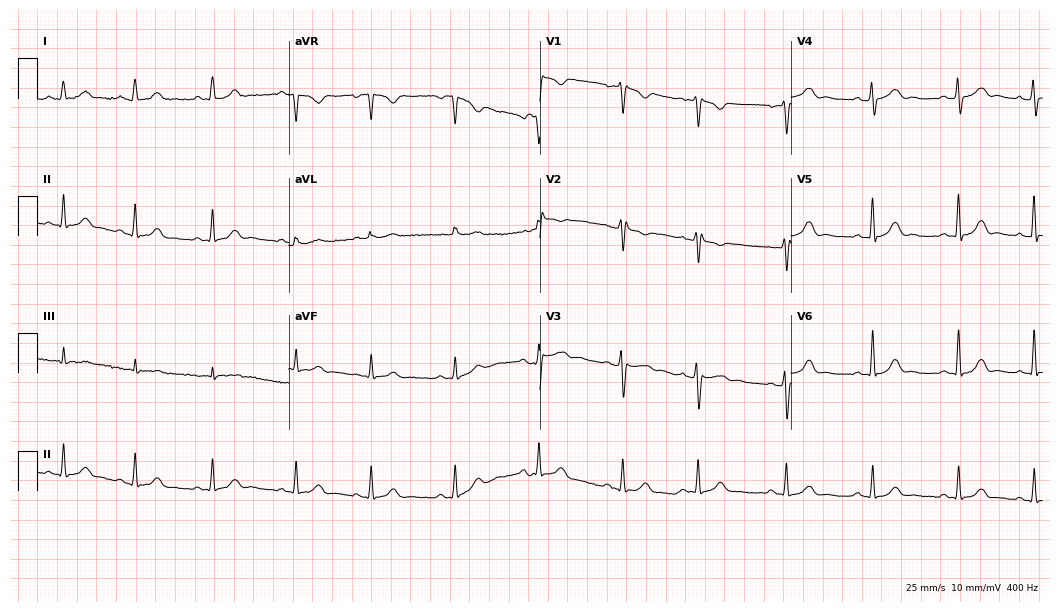
12-lead ECG from a 31-year-old woman (10.2-second recording at 400 Hz). No first-degree AV block, right bundle branch block (RBBB), left bundle branch block (LBBB), sinus bradycardia, atrial fibrillation (AF) or sinus tachycardia recorded for this tracing. Other findings, if any, are not listed.